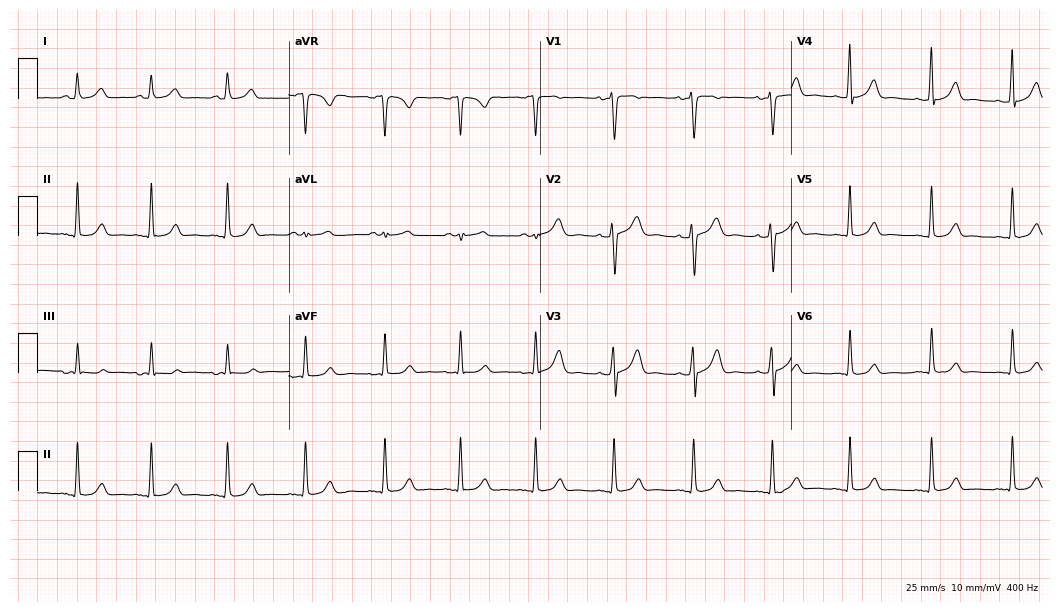
12-lead ECG from a male patient, 31 years old (10.2-second recording at 400 Hz). Recorded interpretation: within normal limits.